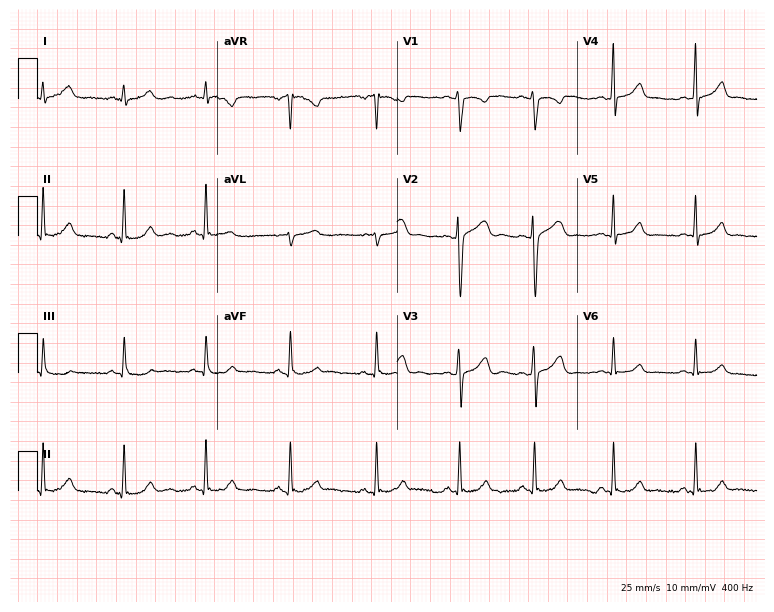
12-lead ECG from a 21-year-old female (7.3-second recording at 400 Hz). No first-degree AV block, right bundle branch block, left bundle branch block, sinus bradycardia, atrial fibrillation or sinus tachycardia recorded for this tracing.